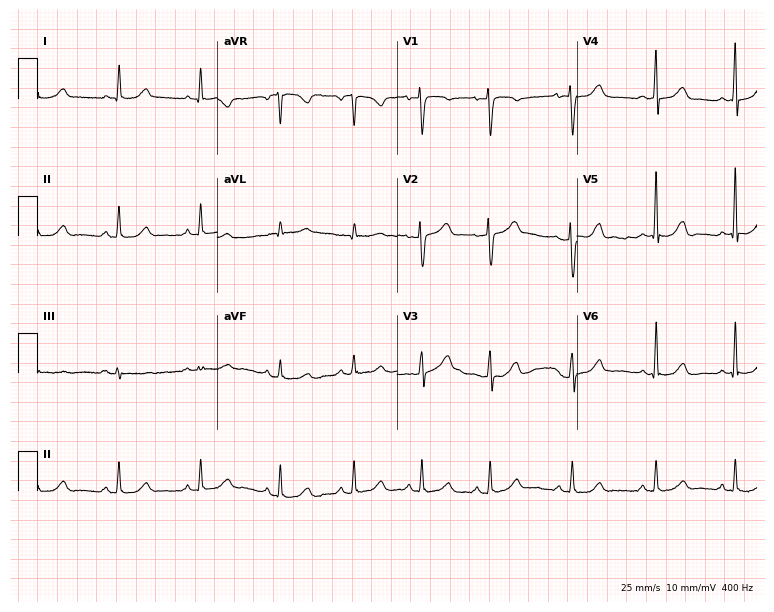
ECG — a female patient, 36 years old. Screened for six findings — first-degree AV block, right bundle branch block, left bundle branch block, sinus bradycardia, atrial fibrillation, sinus tachycardia — none is recorded.